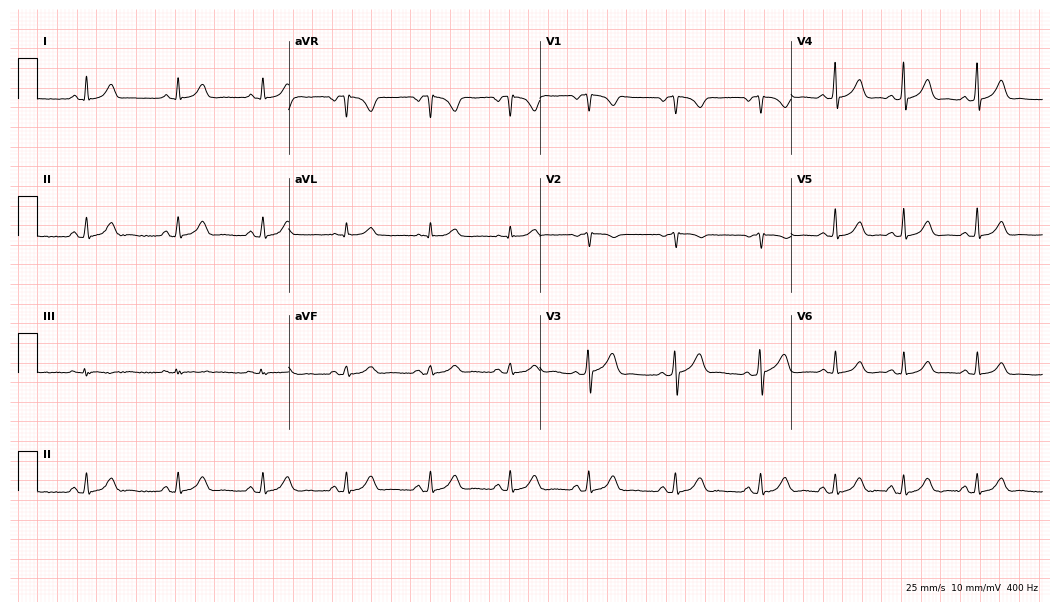
12-lead ECG from a woman, 32 years old (10.2-second recording at 400 Hz). Recorded interpretation: within normal limits.